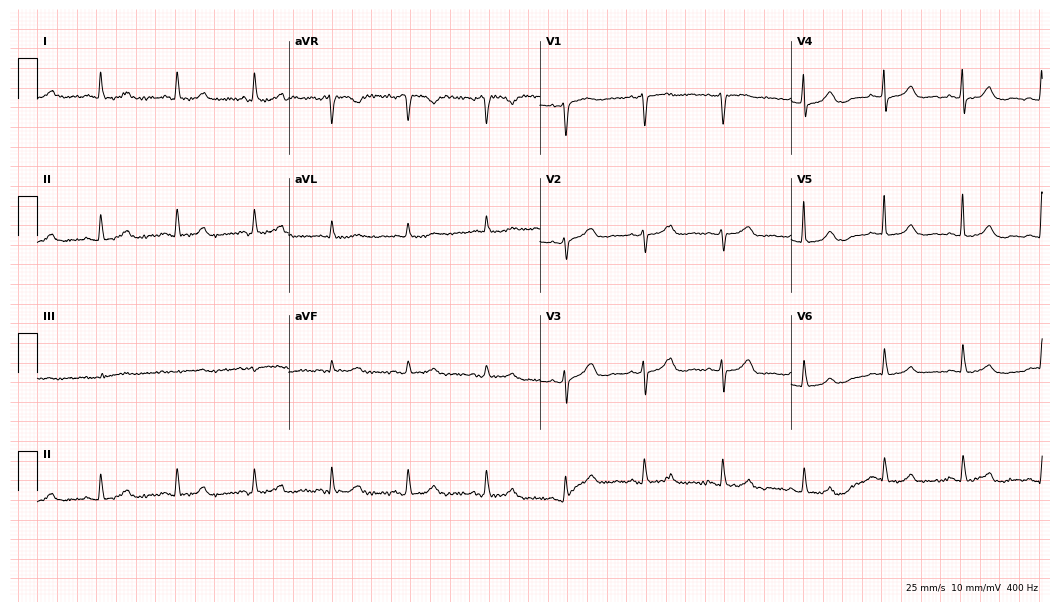
ECG — a female patient, 74 years old. Labelled as a normal ECG.